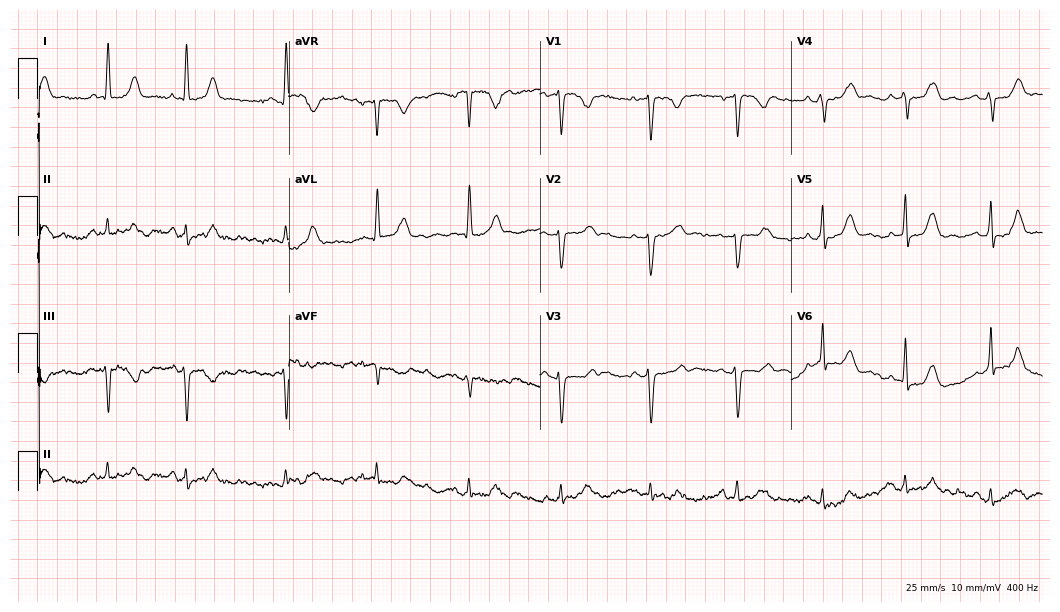
12-lead ECG from a 47-year-old female patient (10.2-second recording at 400 Hz). Recorded interpretation: within normal limits.